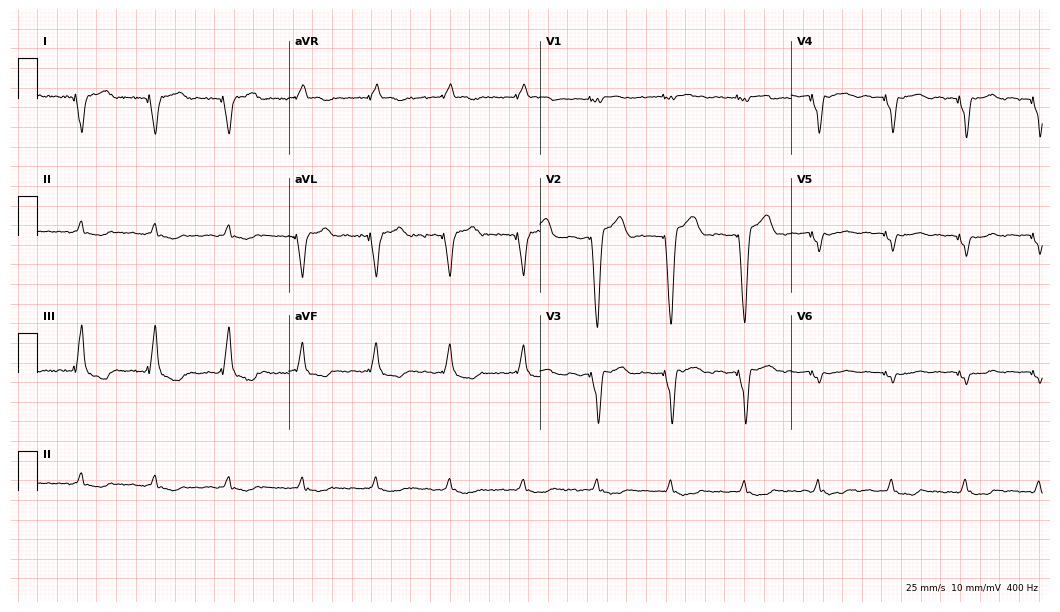
12-lead ECG (10.2-second recording at 400 Hz) from a male patient, 69 years old. Findings include left bundle branch block (LBBB).